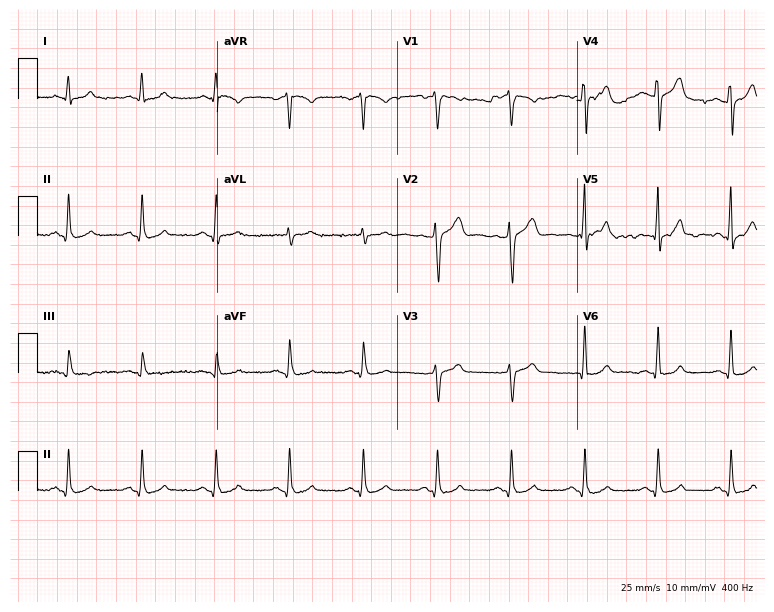
12-lead ECG (7.3-second recording at 400 Hz) from a 54-year-old male. Labelled as a normal ECG.